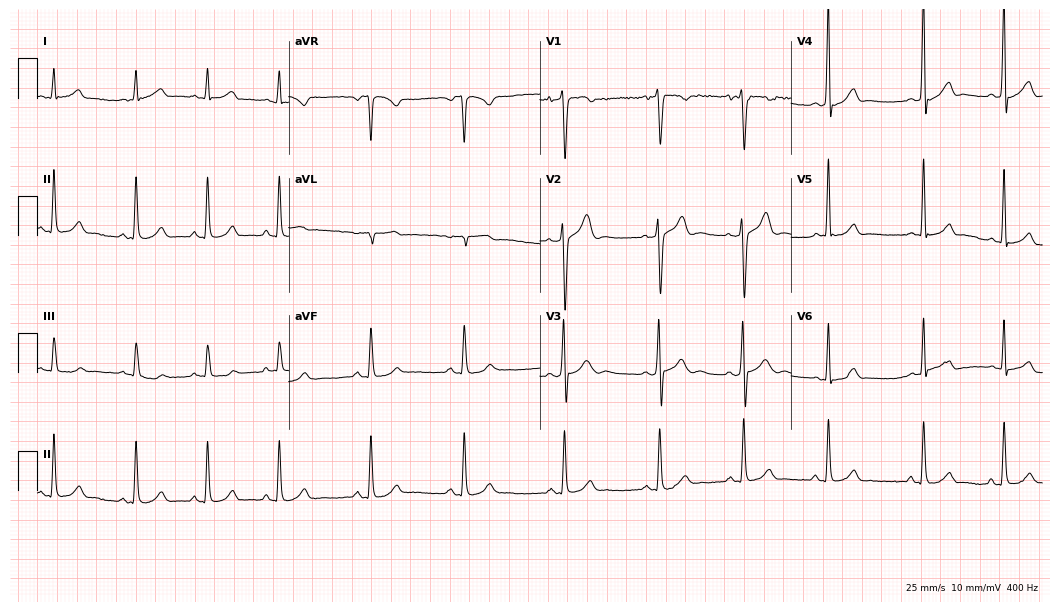
Standard 12-lead ECG recorded from a male patient, 21 years old (10.2-second recording at 400 Hz). Read as a normal ECG.